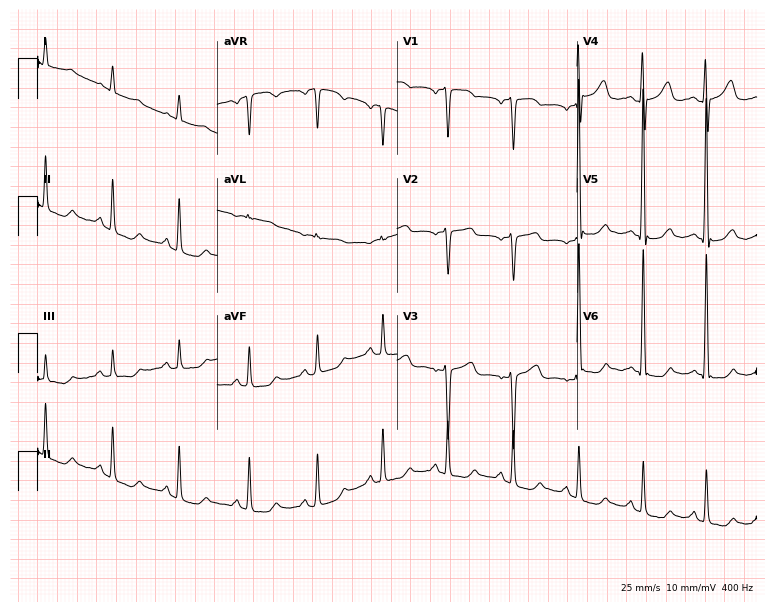
ECG (7.3-second recording at 400 Hz) — a female patient, 44 years old. Screened for six findings — first-degree AV block, right bundle branch block (RBBB), left bundle branch block (LBBB), sinus bradycardia, atrial fibrillation (AF), sinus tachycardia — none is recorded.